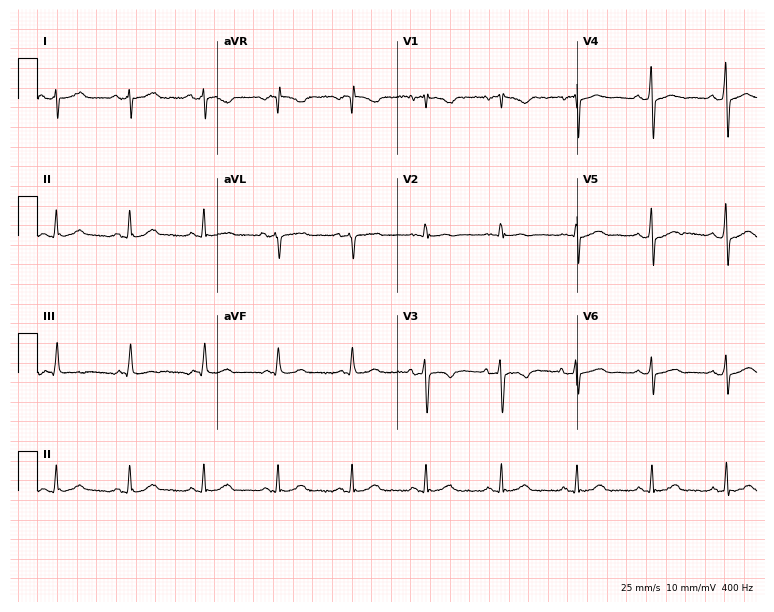
Resting 12-lead electrocardiogram (7.3-second recording at 400 Hz). Patient: a woman, 72 years old. None of these six findings is recorded: first-degree AV block, right bundle branch block (RBBB), left bundle branch block (LBBB), sinus bradycardia, atrial fibrillation (AF), sinus tachycardia. Only these six findings were labelled.